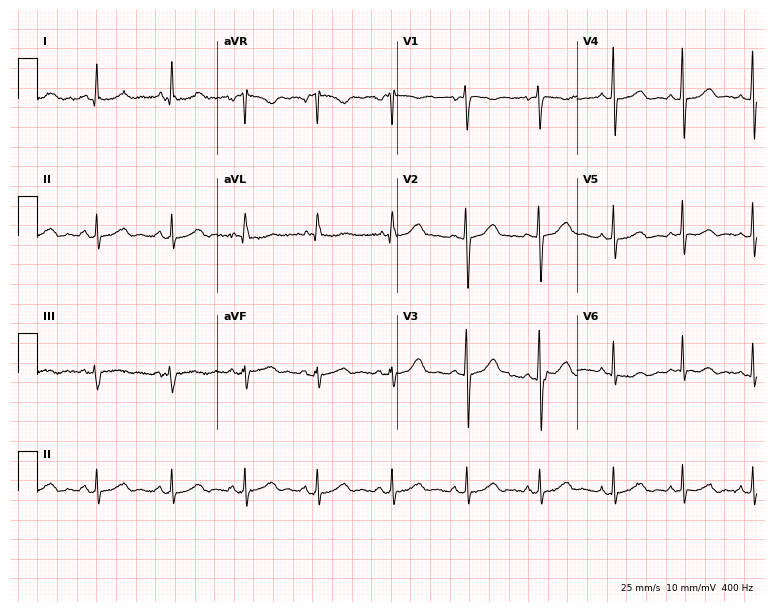
Electrocardiogram (7.3-second recording at 400 Hz), a 32-year-old woman. Overall reading on record: normal ECG.